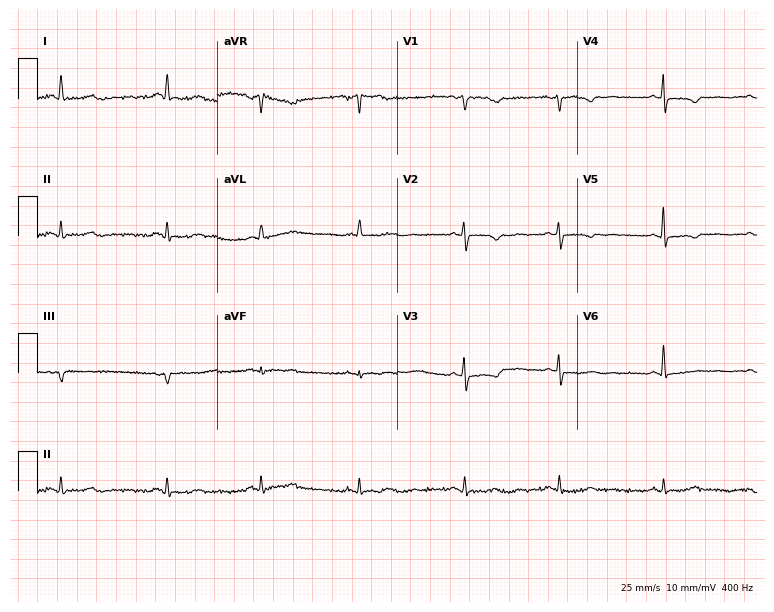
Standard 12-lead ECG recorded from a woman, 50 years old (7.3-second recording at 400 Hz). None of these six findings is recorded: first-degree AV block, right bundle branch block (RBBB), left bundle branch block (LBBB), sinus bradycardia, atrial fibrillation (AF), sinus tachycardia. Findings outside these six are not listed.